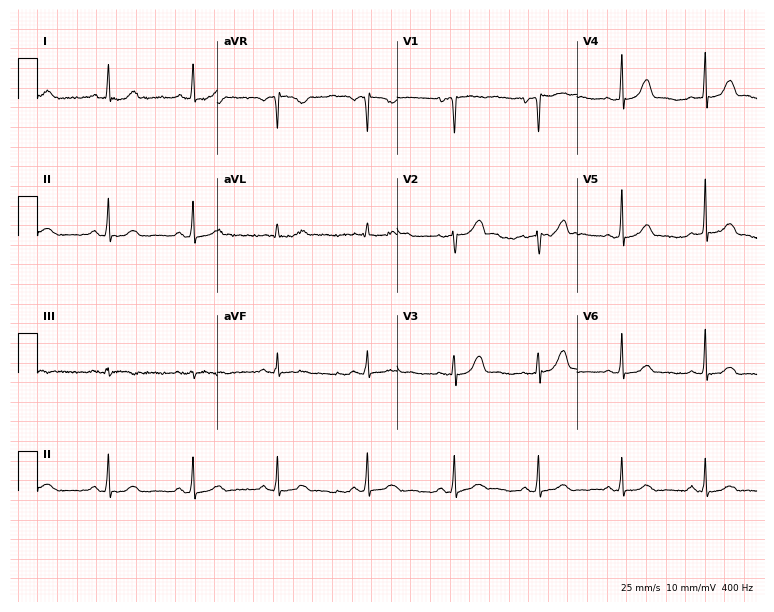
ECG — a 74-year-old woman. Screened for six findings — first-degree AV block, right bundle branch block, left bundle branch block, sinus bradycardia, atrial fibrillation, sinus tachycardia — none is recorded.